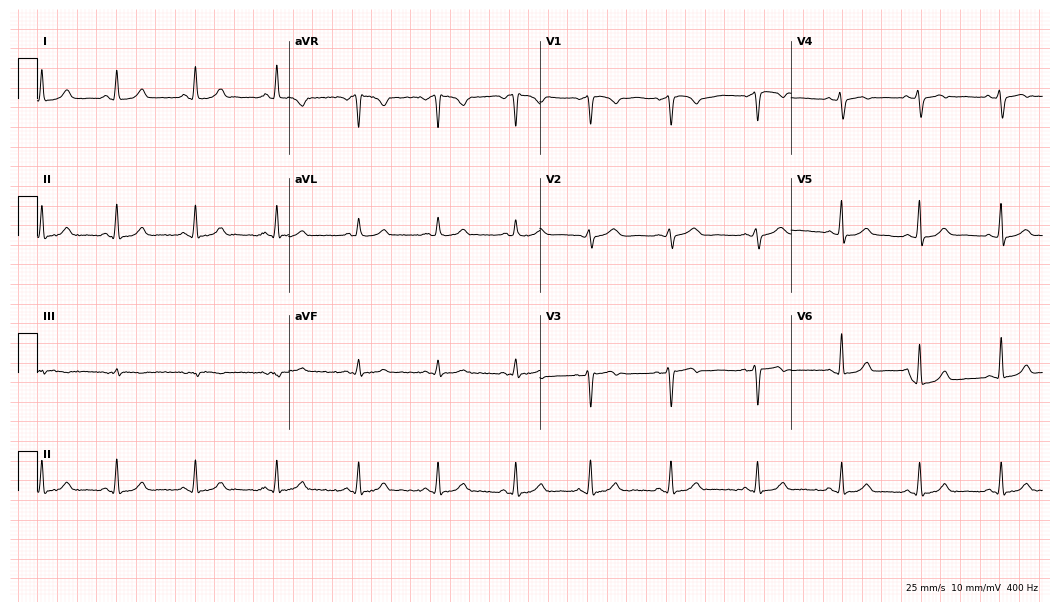
Resting 12-lead electrocardiogram. Patient: a 25-year-old female. Read as a normal ECG.